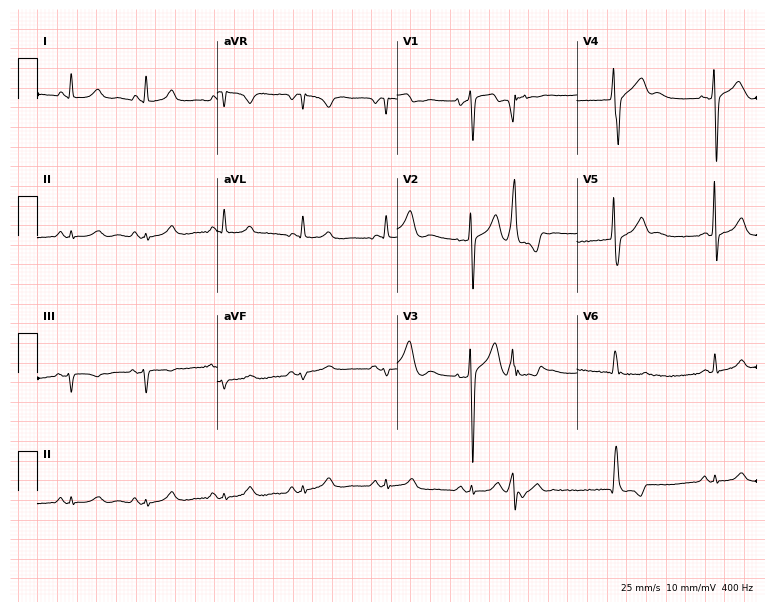
ECG — an 83-year-old male patient. Screened for six findings — first-degree AV block, right bundle branch block (RBBB), left bundle branch block (LBBB), sinus bradycardia, atrial fibrillation (AF), sinus tachycardia — none is recorded.